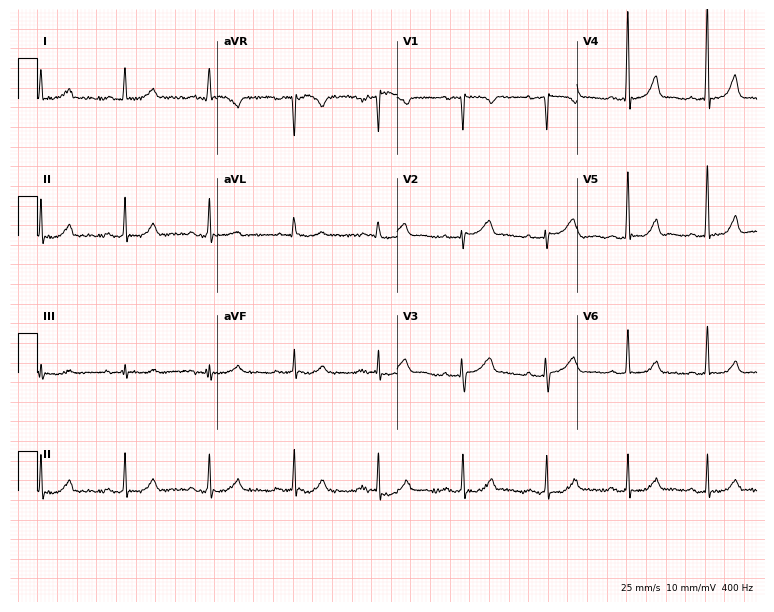
12-lead ECG from a 60-year-old female. Recorded interpretation: within normal limits.